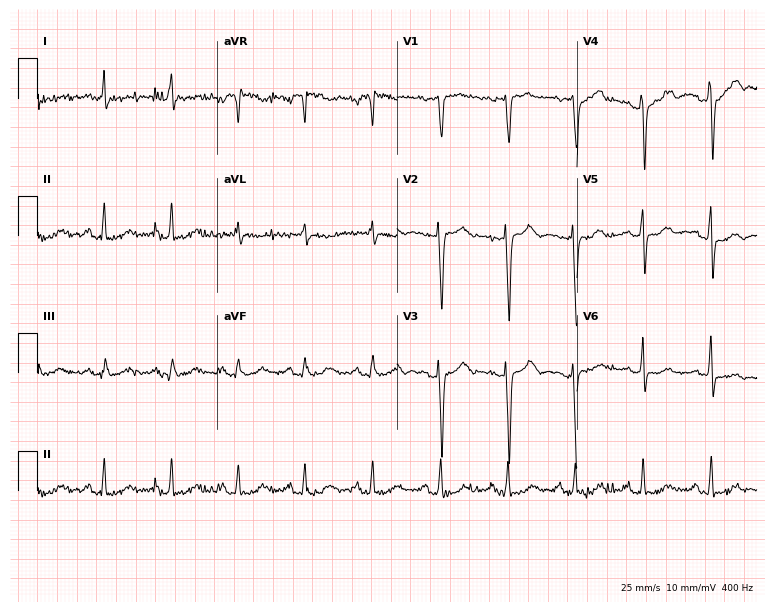
12-lead ECG (7.3-second recording at 400 Hz) from an 82-year-old woman. Labelled as a normal ECG.